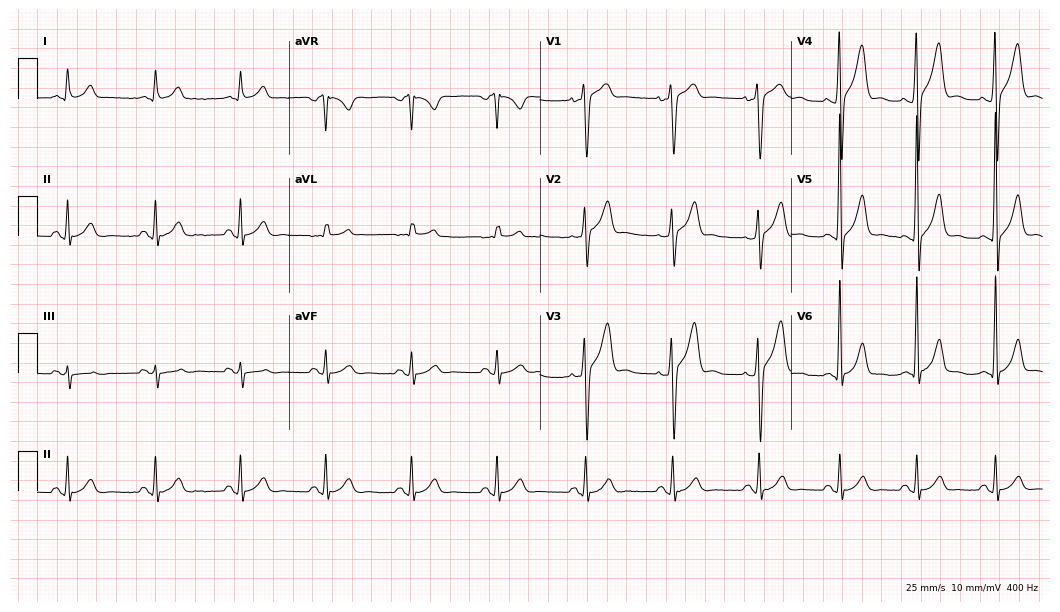
ECG — a 50-year-old male. Labelled as a normal ECG.